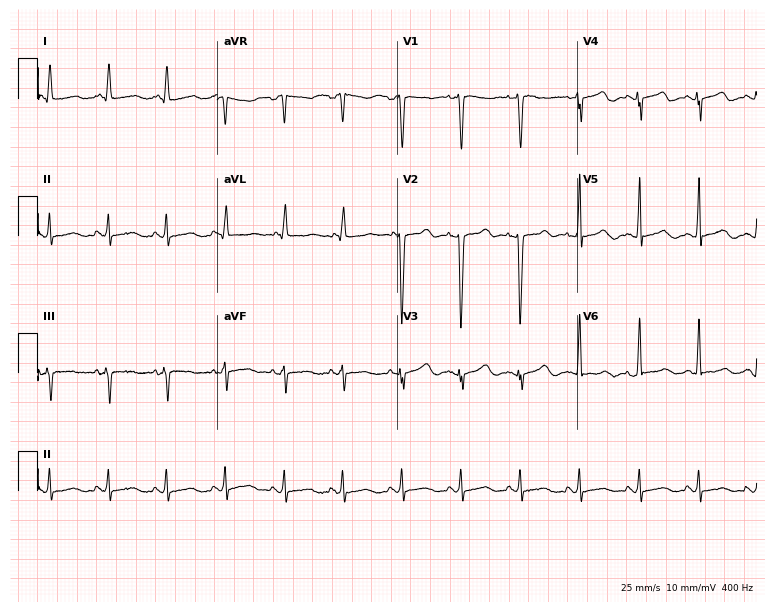
Electrocardiogram (7.3-second recording at 400 Hz), a 27-year-old female patient. Of the six screened findings (first-degree AV block, right bundle branch block (RBBB), left bundle branch block (LBBB), sinus bradycardia, atrial fibrillation (AF), sinus tachycardia), none is recorded.